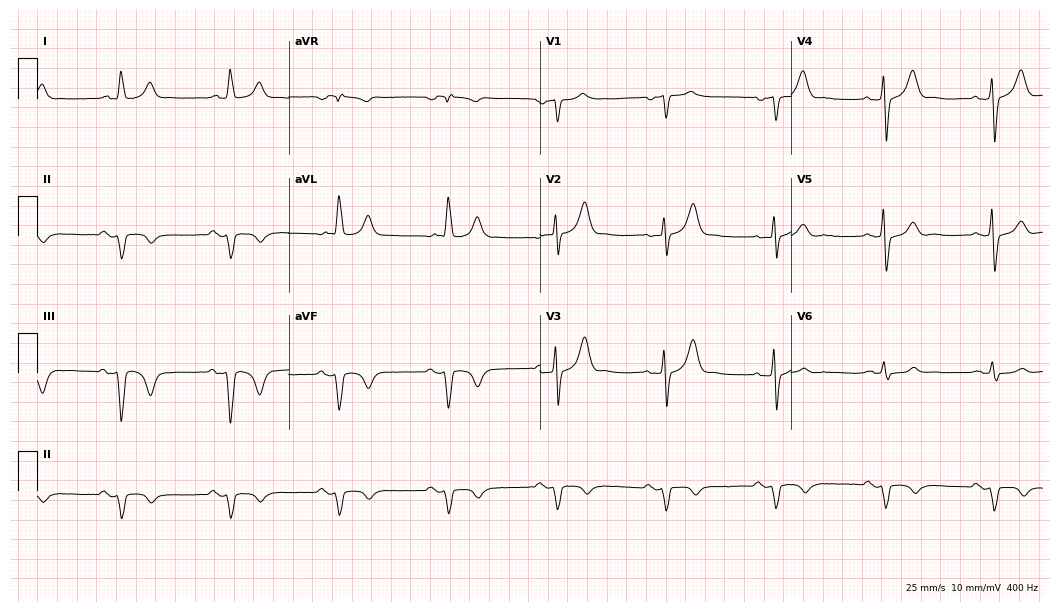
12-lead ECG from an 81-year-old male. No first-degree AV block, right bundle branch block, left bundle branch block, sinus bradycardia, atrial fibrillation or sinus tachycardia recorded for this tracing.